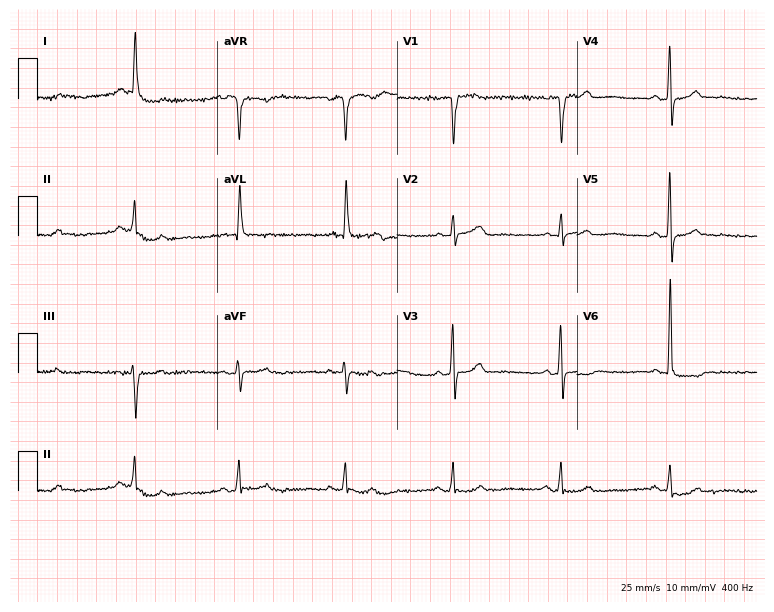
Electrocardiogram, a 67-year-old man. Of the six screened findings (first-degree AV block, right bundle branch block (RBBB), left bundle branch block (LBBB), sinus bradycardia, atrial fibrillation (AF), sinus tachycardia), none is recorded.